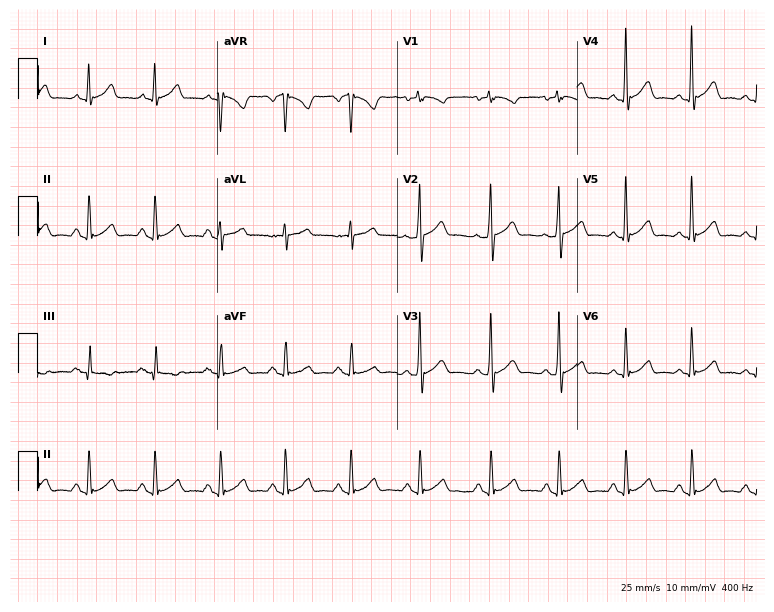
Electrocardiogram, a man, 49 years old. Overall reading on record: normal ECG.